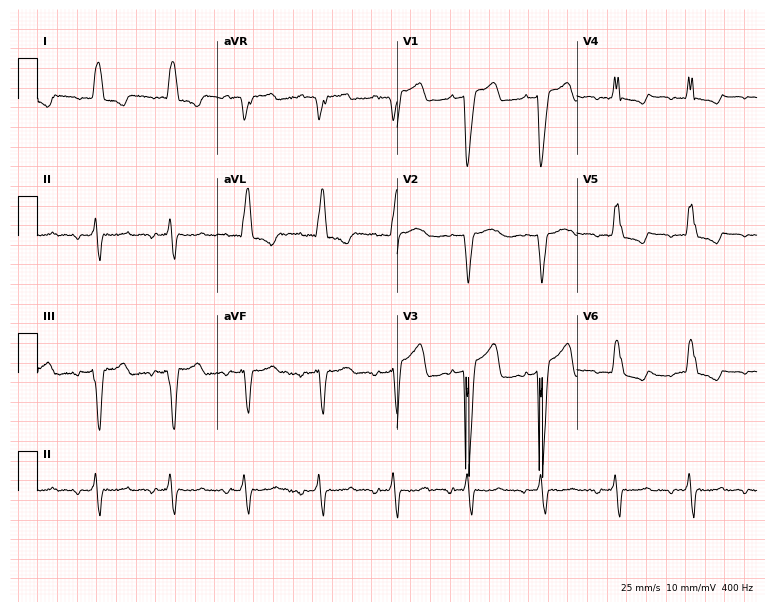
Resting 12-lead electrocardiogram. Patient: a woman, 84 years old. The tracing shows left bundle branch block.